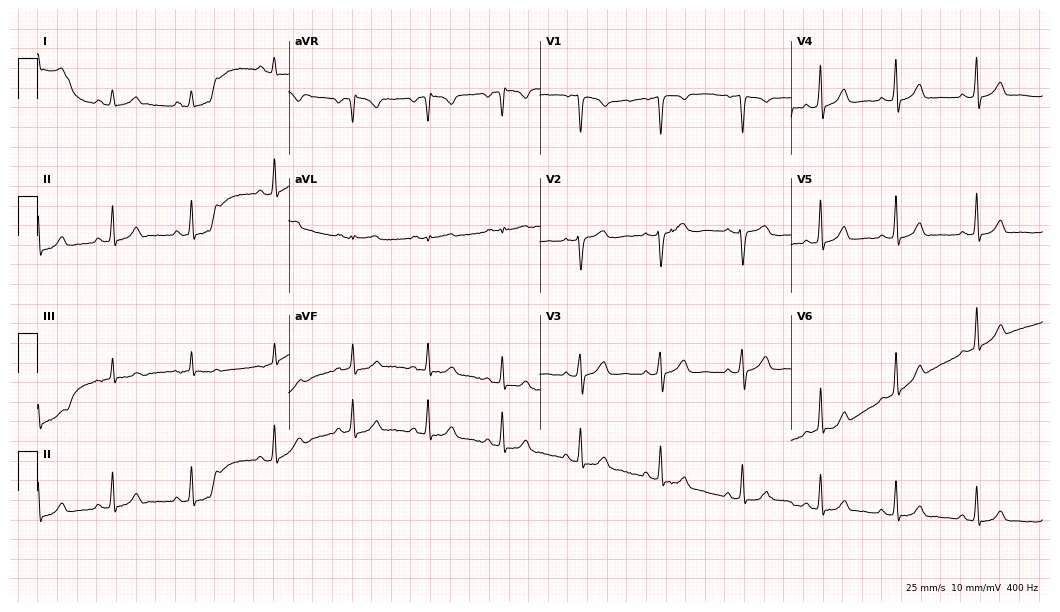
12-lead ECG from a 34-year-old woman (10.2-second recording at 400 Hz). No first-degree AV block, right bundle branch block, left bundle branch block, sinus bradycardia, atrial fibrillation or sinus tachycardia recorded for this tracing.